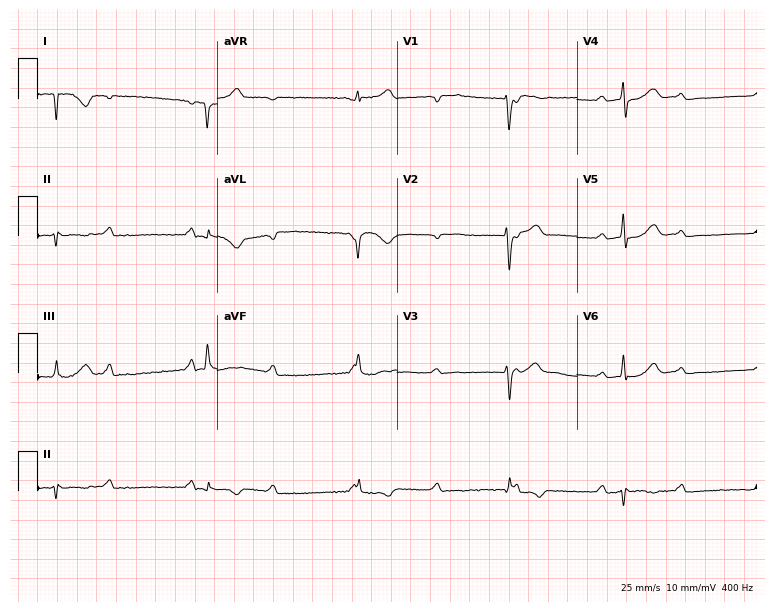
Standard 12-lead ECG recorded from a 60-year-old female (7.3-second recording at 400 Hz). None of these six findings is recorded: first-degree AV block, right bundle branch block, left bundle branch block, sinus bradycardia, atrial fibrillation, sinus tachycardia. Other findings, if any, are not listed.